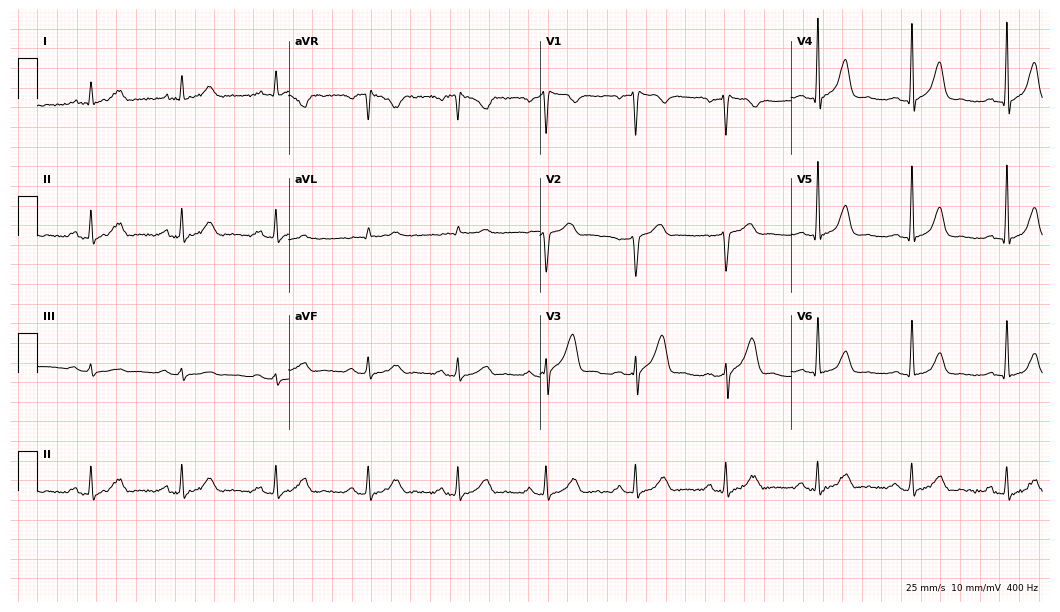
12-lead ECG from a 56-year-old male patient. Labelled as a normal ECG.